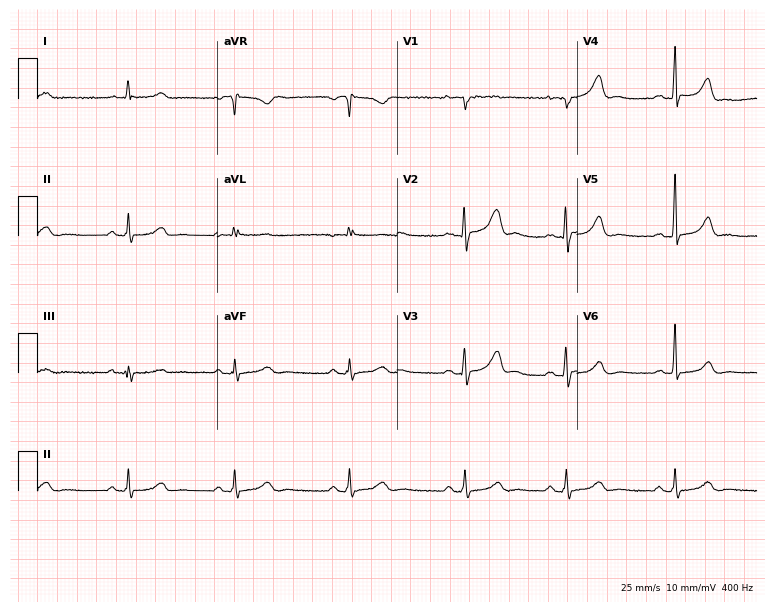
12-lead ECG from a woman, 33 years old. Recorded interpretation: within normal limits.